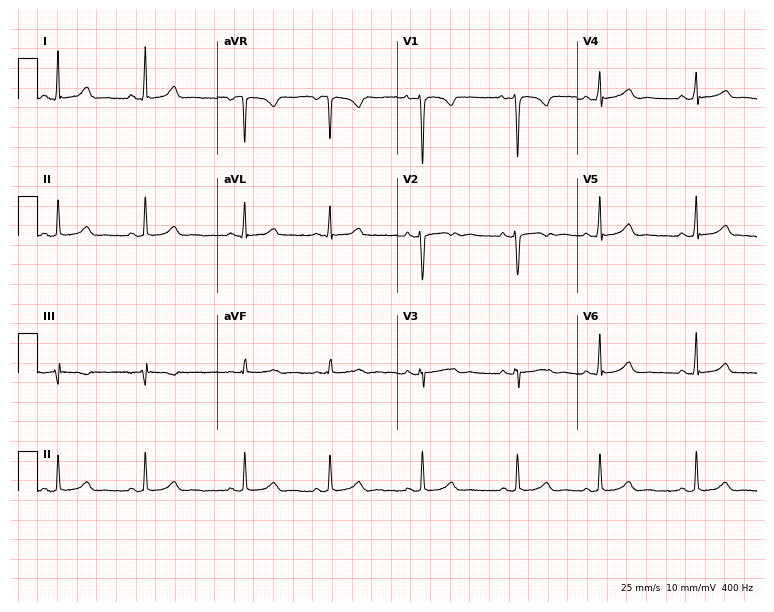
Electrocardiogram, a 21-year-old female. Overall reading on record: normal ECG.